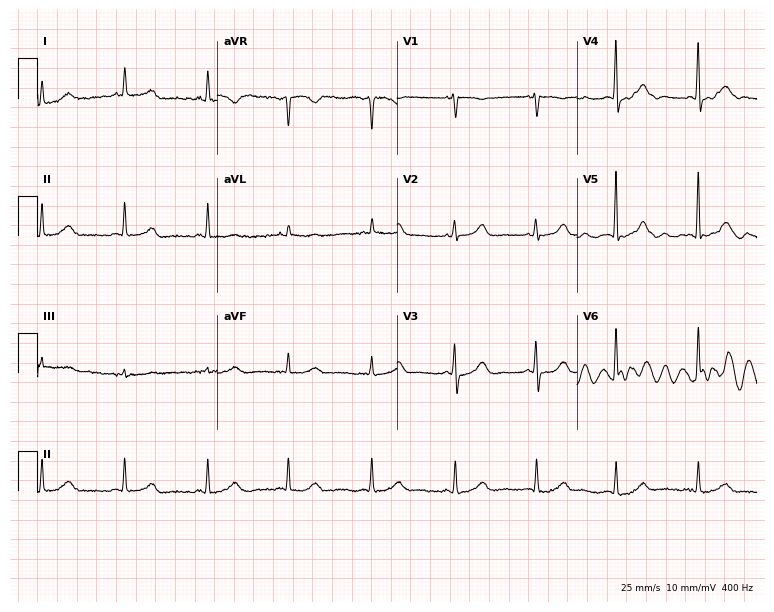
Standard 12-lead ECG recorded from a female, 73 years old (7.3-second recording at 400 Hz). Read as a normal ECG.